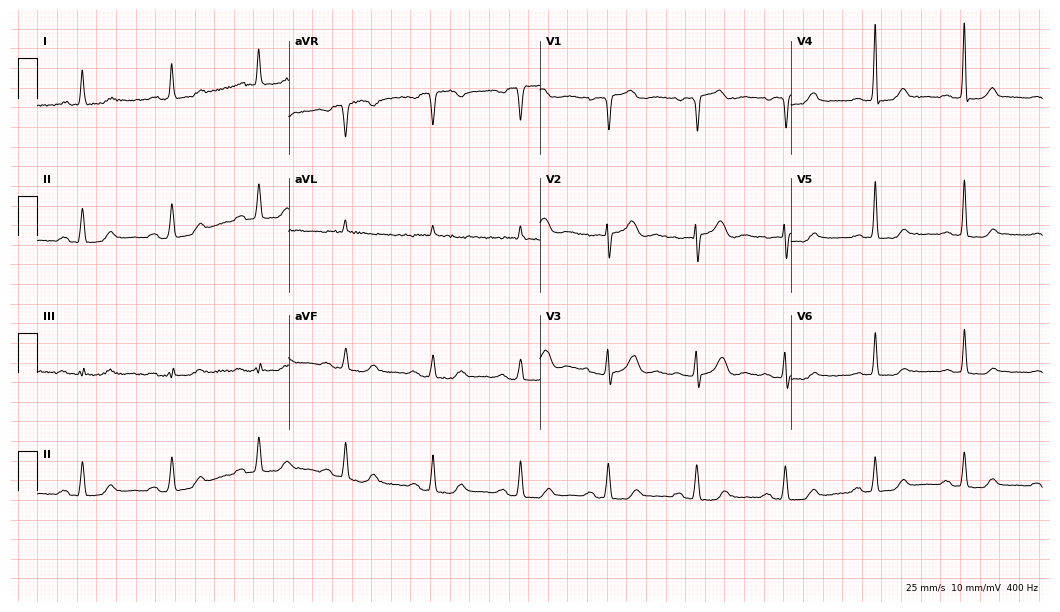
12-lead ECG (10.2-second recording at 400 Hz) from a 78-year-old male. Labelled as a normal ECG.